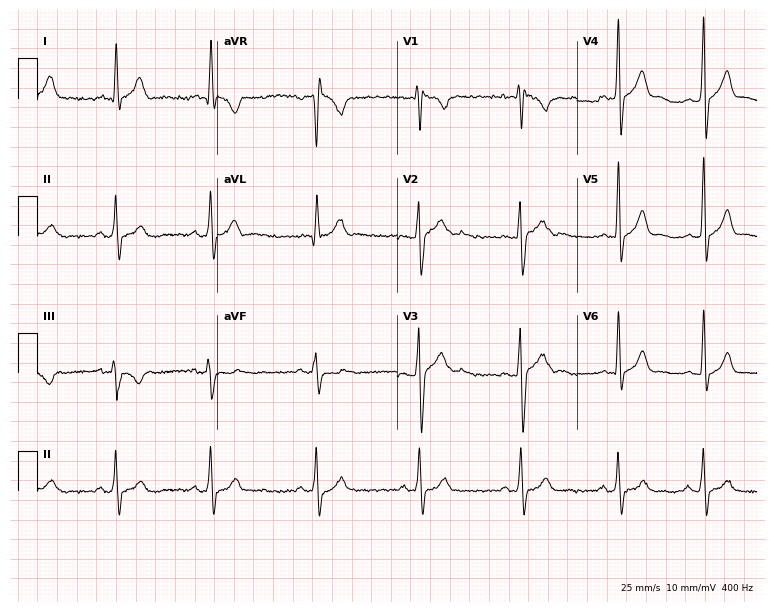
Resting 12-lead electrocardiogram. Patient: a male, 23 years old. None of these six findings is recorded: first-degree AV block, right bundle branch block, left bundle branch block, sinus bradycardia, atrial fibrillation, sinus tachycardia. Only these six findings were labelled.